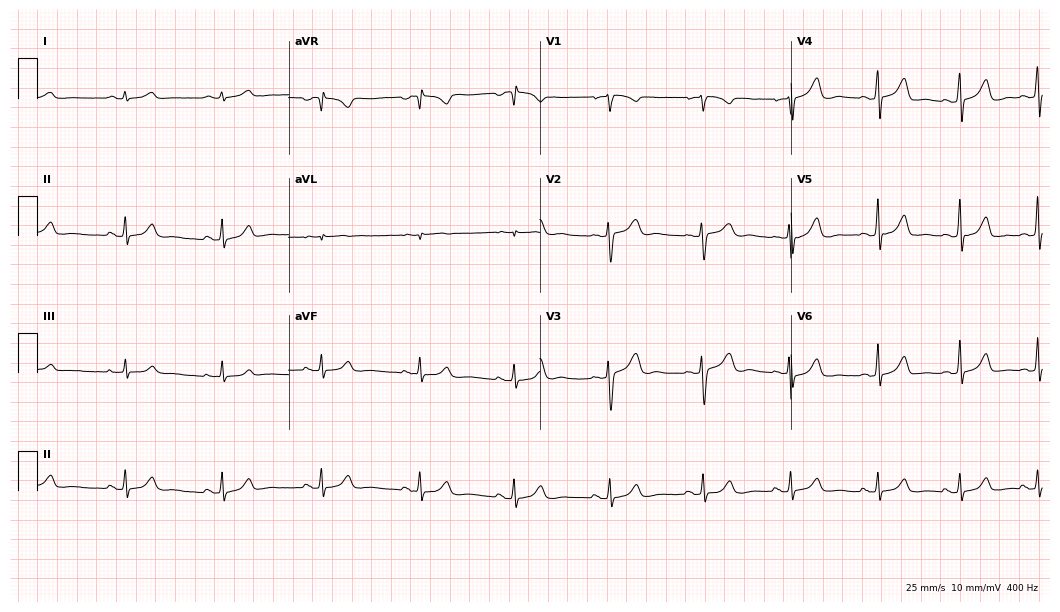
Electrocardiogram (10.2-second recording at 400 Hz), a female, 37 years old. Overall reading on record: normal ECG.